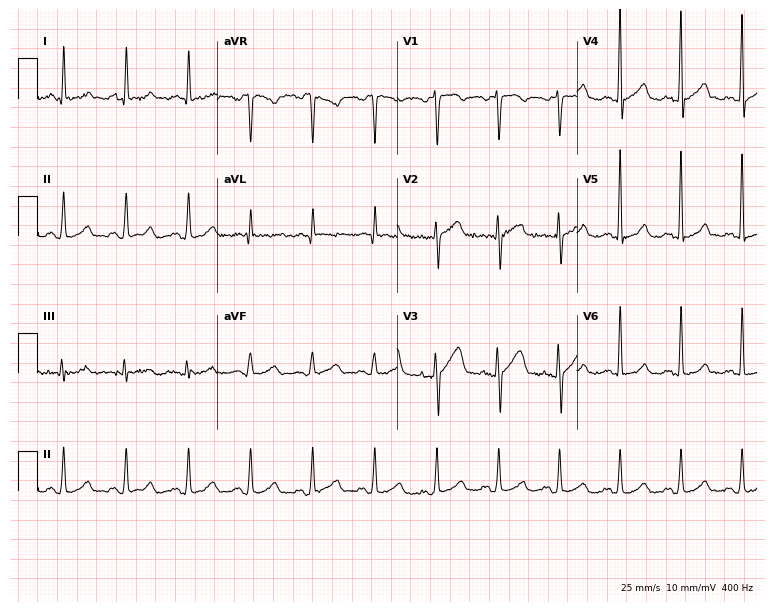
12-lead ECG (7.3-second recording at 400 Hz) from a 41-year-old man. Labelled as a normal ECG.